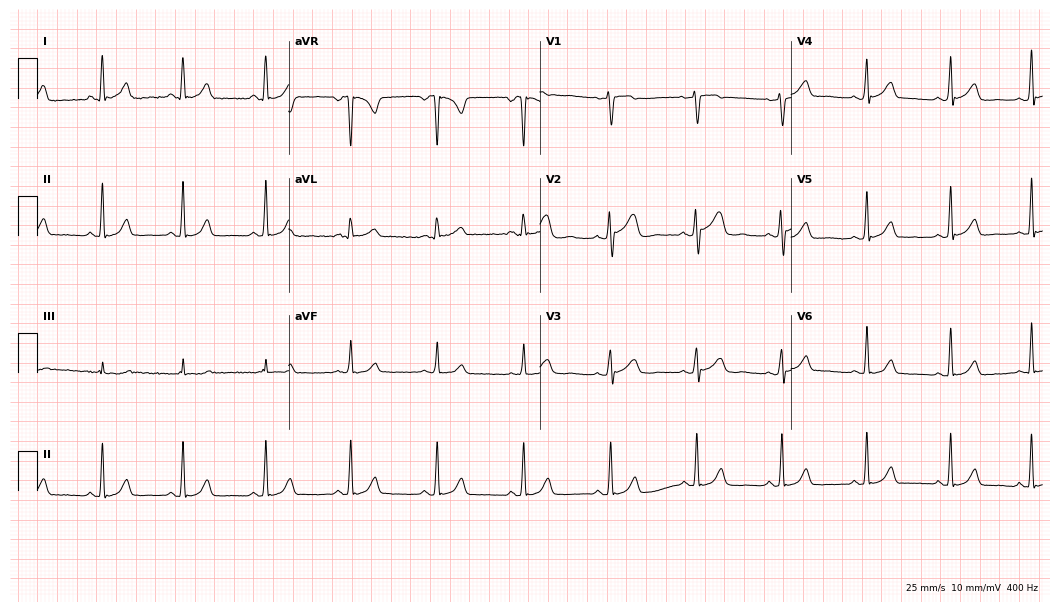
Standard 12-lead ECG recorded from a woman, 33 years old (10.2-second recording at 400 Hz). None of these six findings is recorded: first-degree AV block, right bundle branch block, left bundle branch block, sinus bradycardia, atrial fibrillation, sinus tachycardia. Only these six findings were labelled.